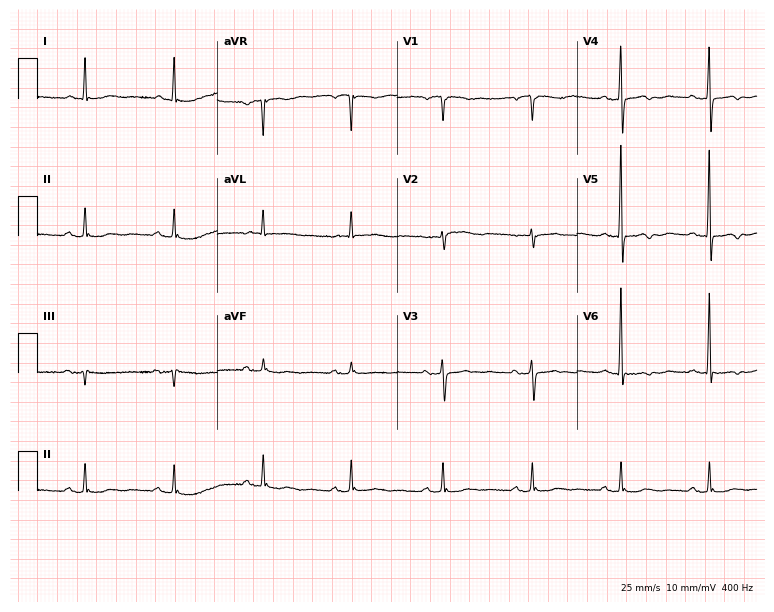
ECG (7.3-second recording at 400 Hz) — a female, 85 years old. Labelled as a normal ECG.